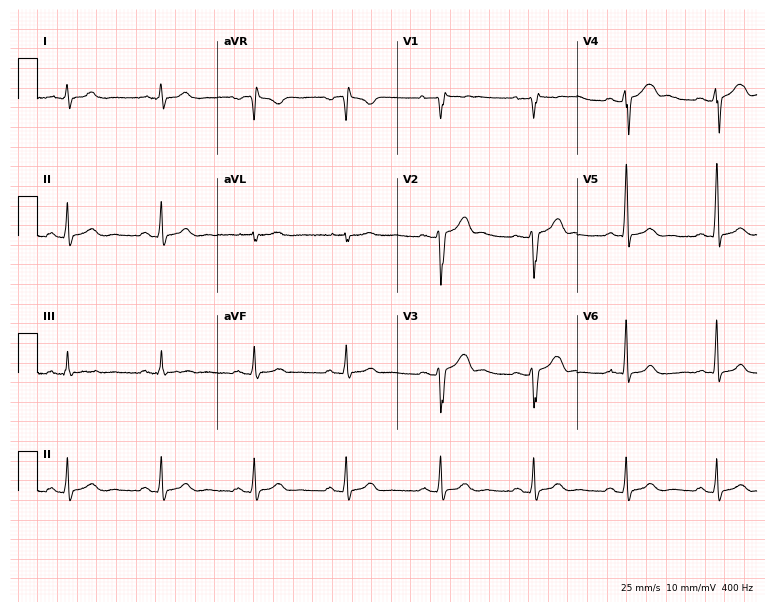
ECG (7.3-second recording at 400 Hz) — a 31-year-old man. Screened for six findings — first-degree AV block, right bundle branch block, left bundle branch block, sinus bradycardia, atrial fibrillation, sinus tachycardia — none is recorded. Findings outside these six are not listed.